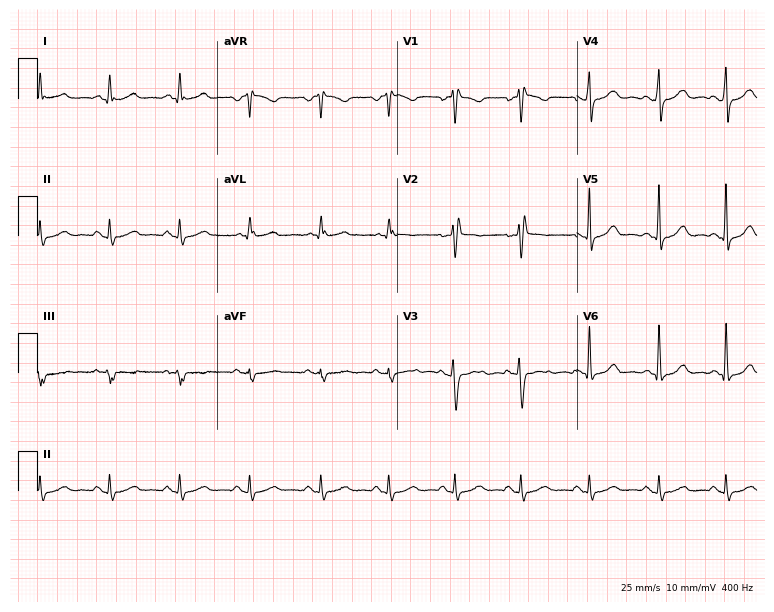
Standard 12-lead ECG recorded from a woman, 47 years old (7.3-second recording at 400 Hz). None of these six findings is recorded: first-degree AV block, right bundle branch block, left bundle branch block, sinus bradycardia, atrial fibrillation, sinus tachycardia. Other findings, if any, are not listed.